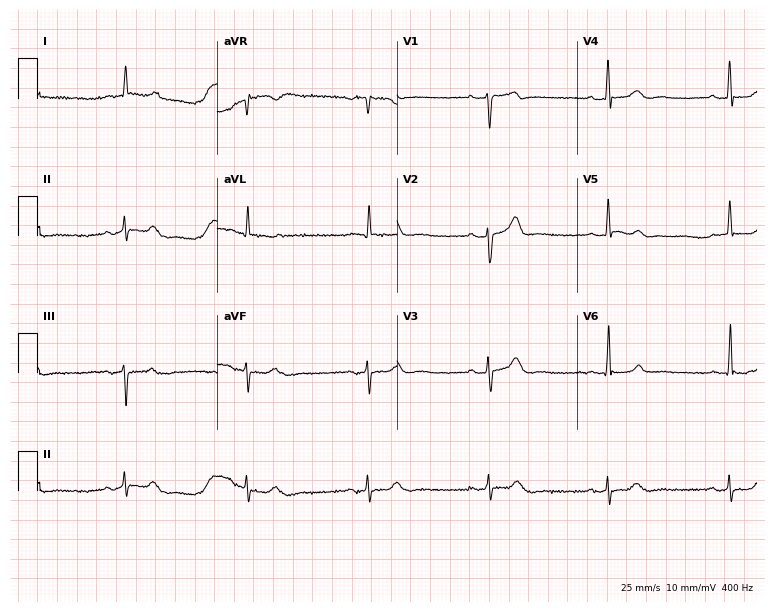
Electrocardiogram, a male patient, 62 years old. Interpretation includes sinus bradycardia (a sinus rate of 50 beats per minute or less).